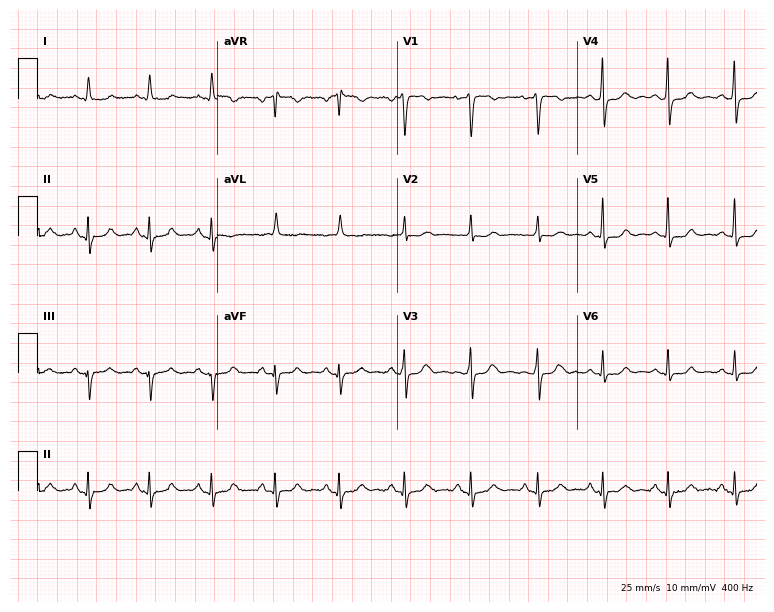
12-lead ECG (7.3-second recording at 400 Hz) from a 47-year-old woman. Labelled as a normal ECG.